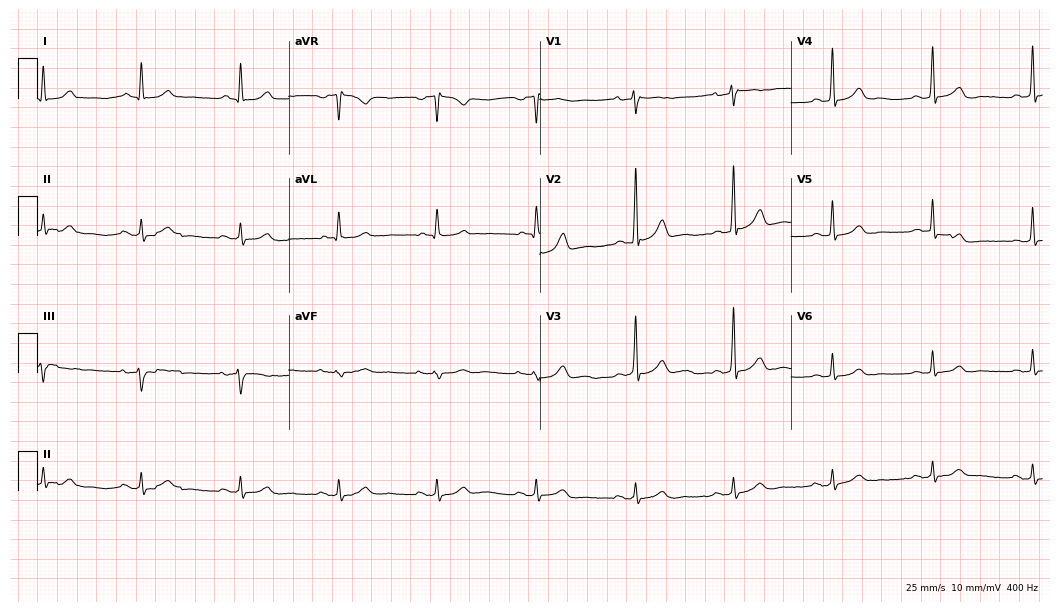
Standard 12-lead ECG recorded from a 74-year-old male (10.2-second recording at 400 Hz). Read as a normal ECG.